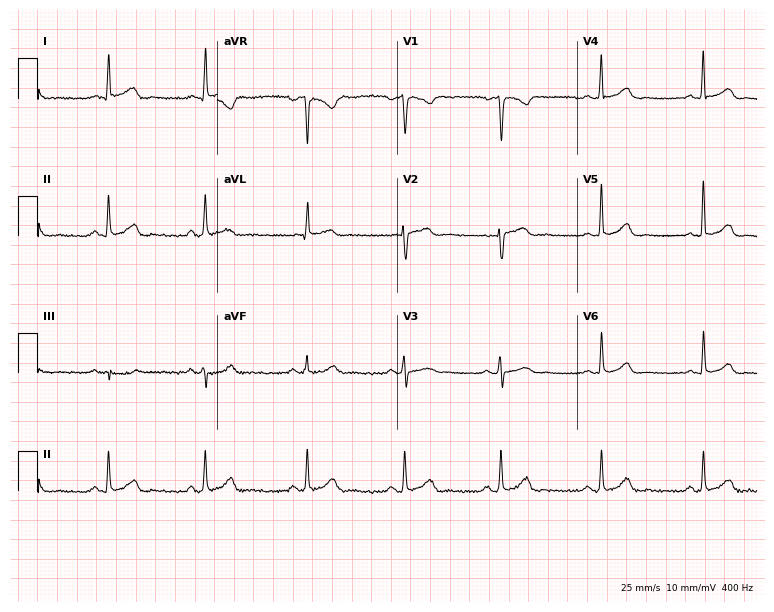
12-lead ECG from a 37-year-old female. Recorded interpretation: within normal limits.